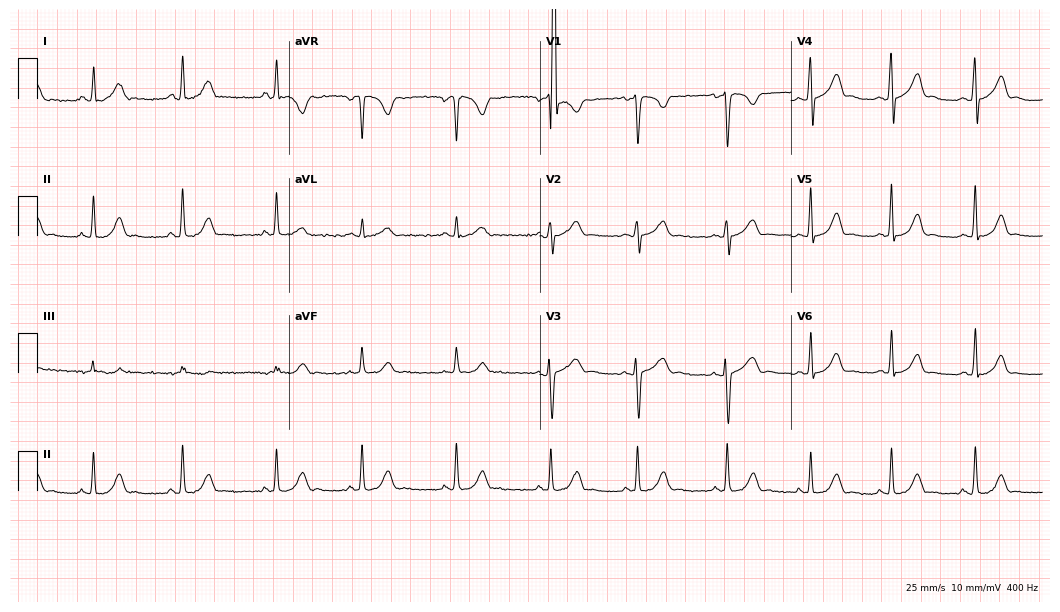
Resting 12-lead electrocardiogram (10.2-second recording at 400 Hz). Patient: a 23-year-old female. Read as a normal ECG.